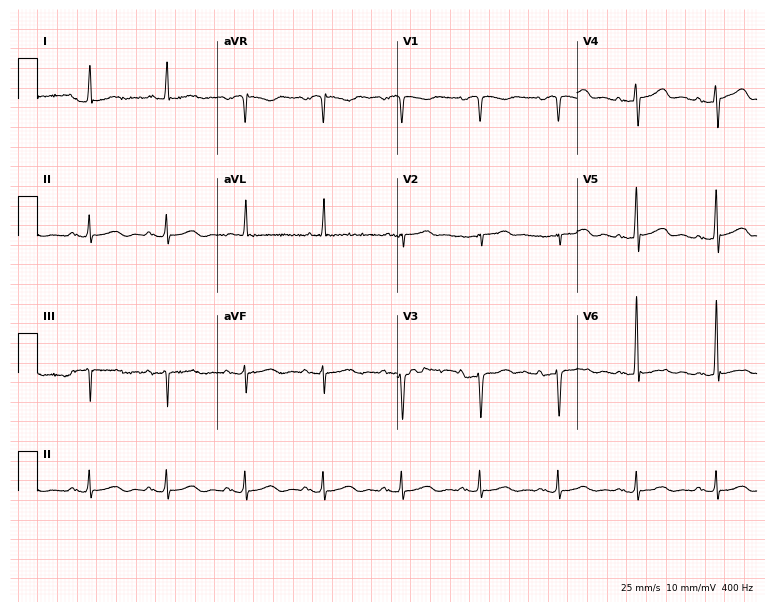
ECG (7.3-second recording at 400 Hz) — a male patient, 74 years old. Labelled as a normal ECG.